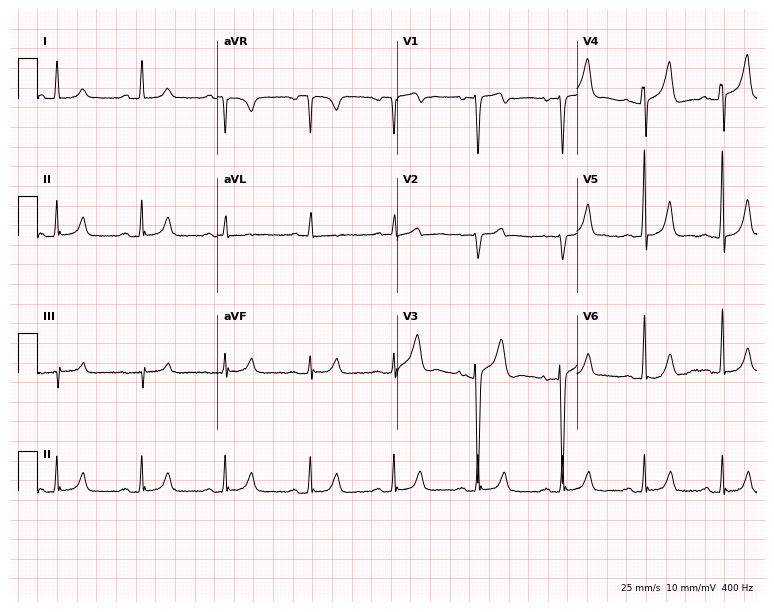
12-lead ECG from a 46-year-old female patient. Recorded interpretation: within normal limits.